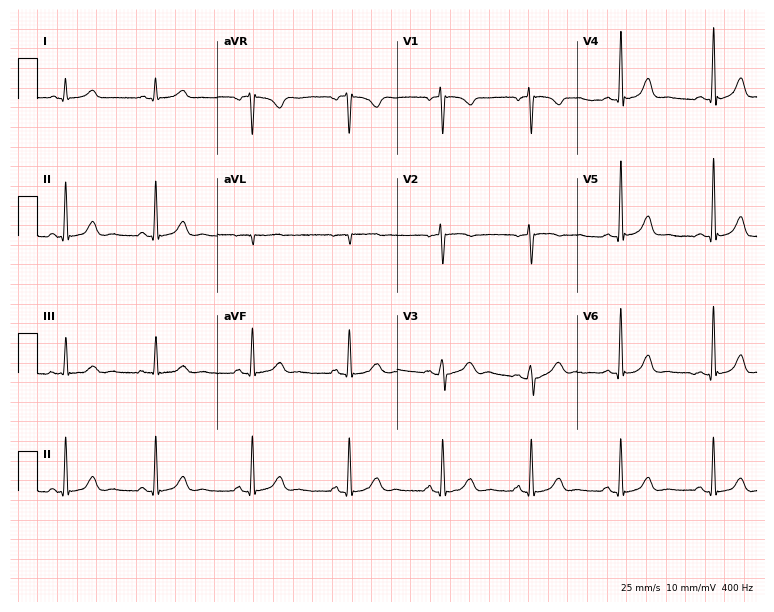
Resting 12-lead electrocardiogram. Patient: a female, 52 years old. Read as a normal ECG.